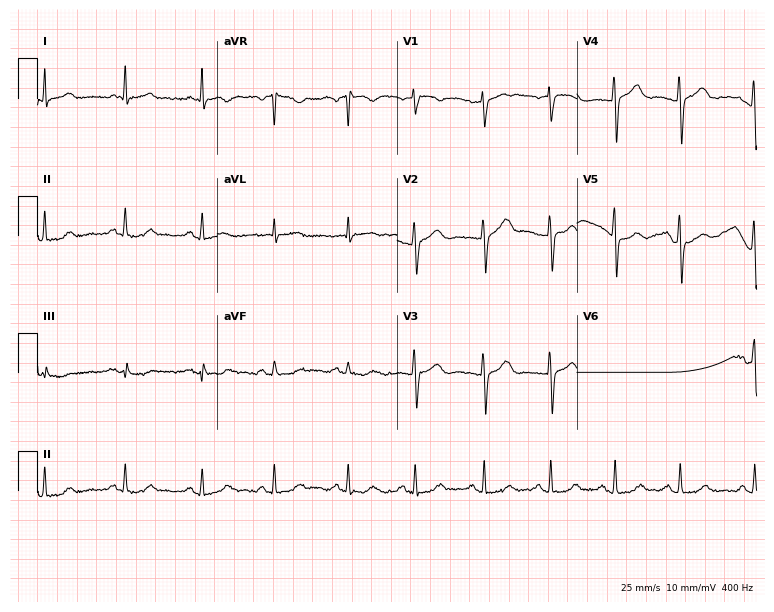
ECG (7.3-second recording at 400 Hz) — a female patient, 51 years old. Screened for six findings — first-degree AV block, right bundle branch block (RBBB), left bundle branch block (LBBB), sinus bradycardia, atrial fibrillation (AF), sinus tachycardia — none is recorded. Other findings, if any, are not listed.